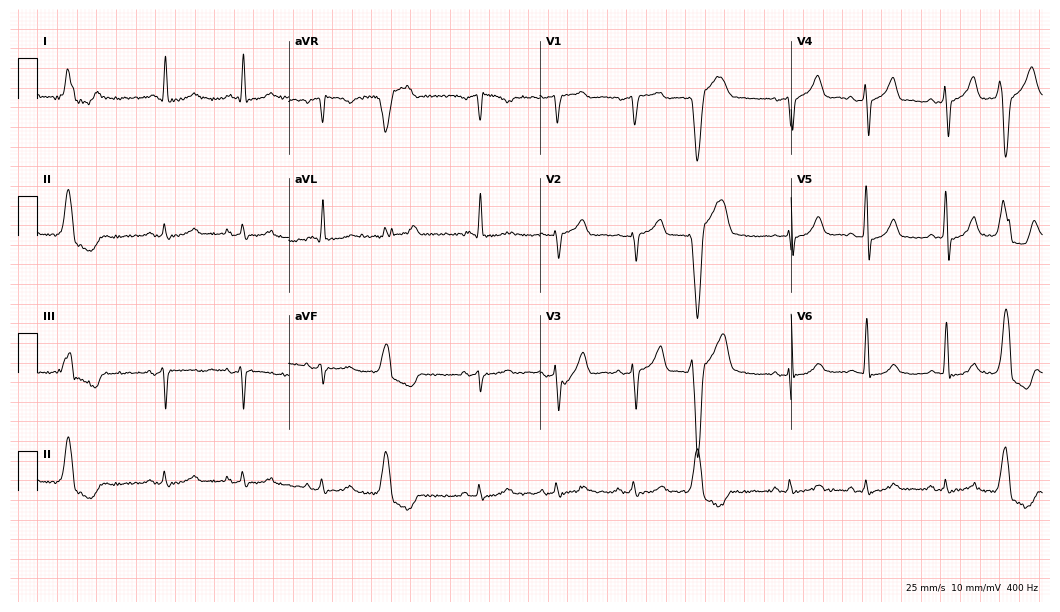
Standard 12-lead ECG recorded from a 72-year-old man. None of these six findings is recorded: first-degree AV block, right bundle branch block, left bundle branch block, sinus bradycardia, atrial fibrillation, sinus tachycardia. Other findings, if any, are not listed.